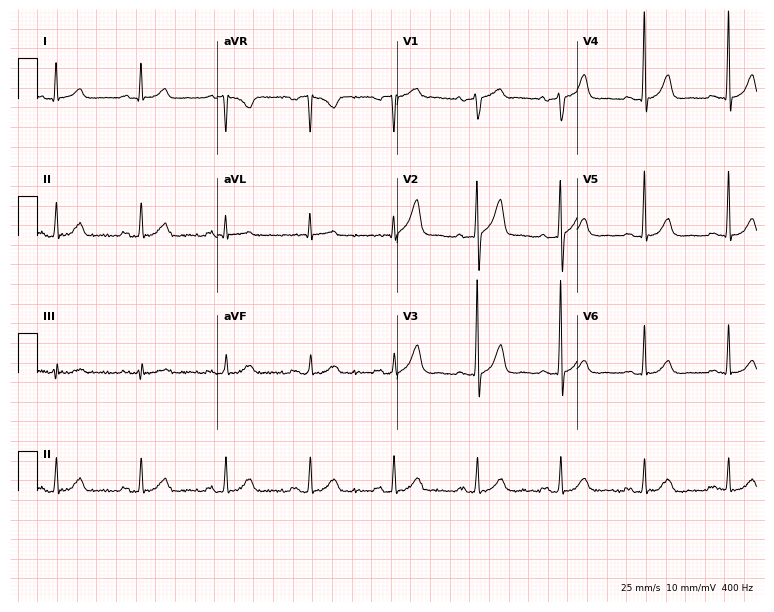
12-lead ECG from a man, 60 years old. Labelled as a normal ECG.